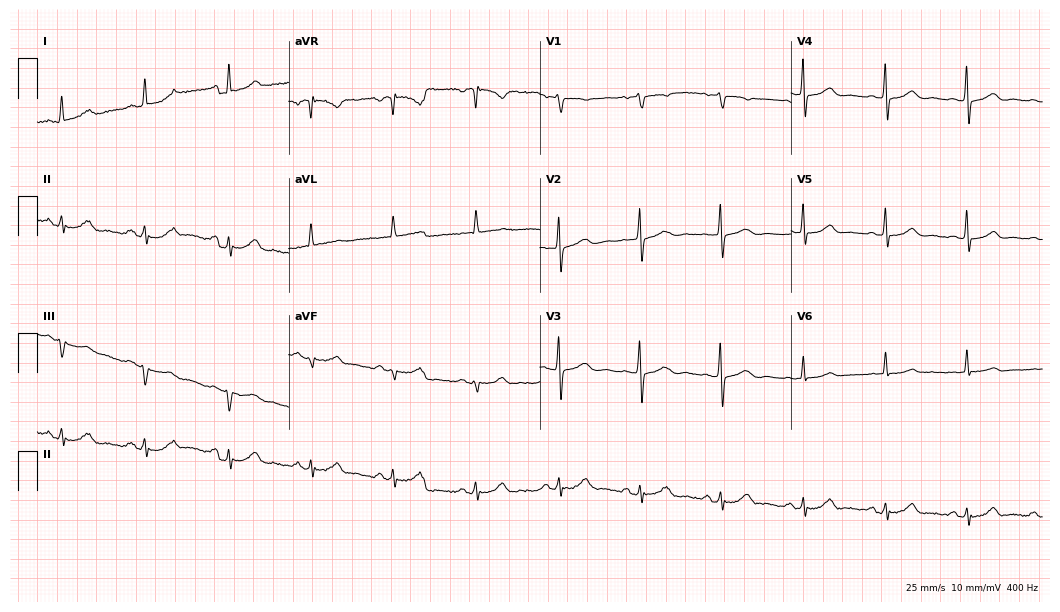
12-lead ECG from a female, 70 years old (10.2-second recording at 400 Hz). Recorded interpretation: within normal limits.